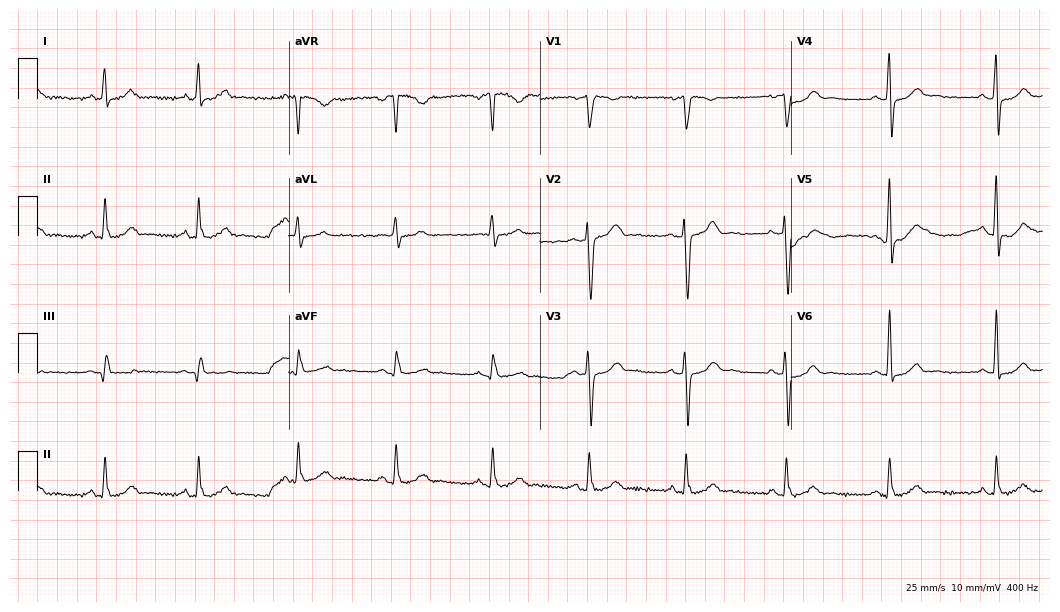
Electrocardiogram (10.2-second recording at 400 Hz), a man, 41 years old. Of the six screened findings (first-degree AV block, right bundle branch block, left bundle branch block, sinus bradycardia, atrial fibrillation, sinus tachycardia), none is recorded.